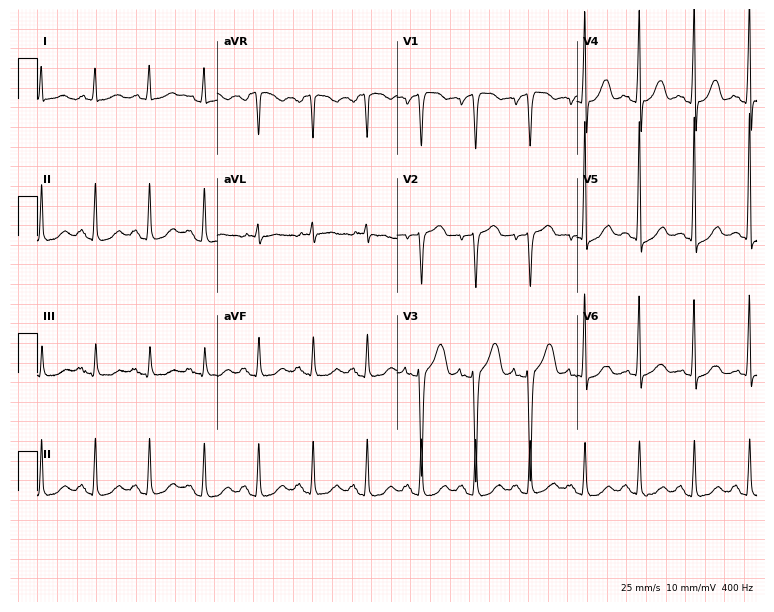
ECG — a female, 77 years old. Findings include sinus tachycardia (a sinus rate of 100 beats per minute or more).